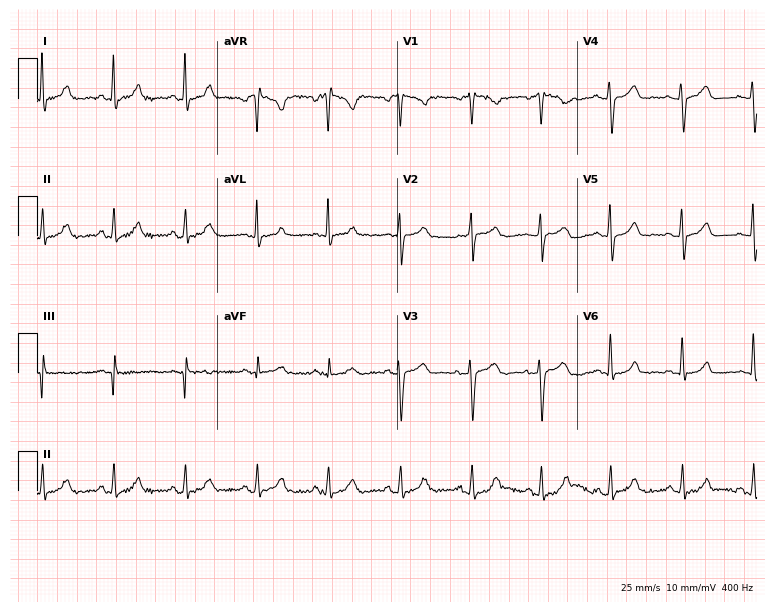
12-lead ECG from a 51-year-old female patient. Labelled as a normal ECG.